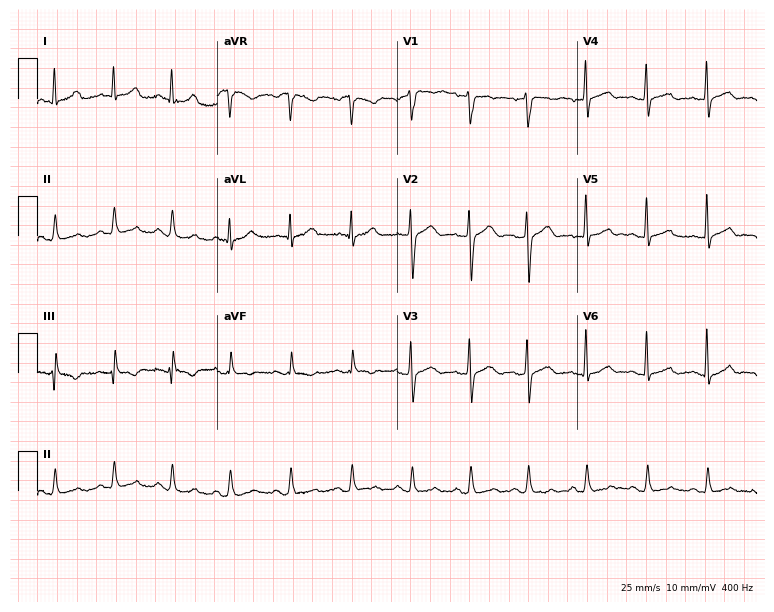
Resting 12-lead electrocardiogram. Patient: a 34-year-old male. Read as a normal ECG.